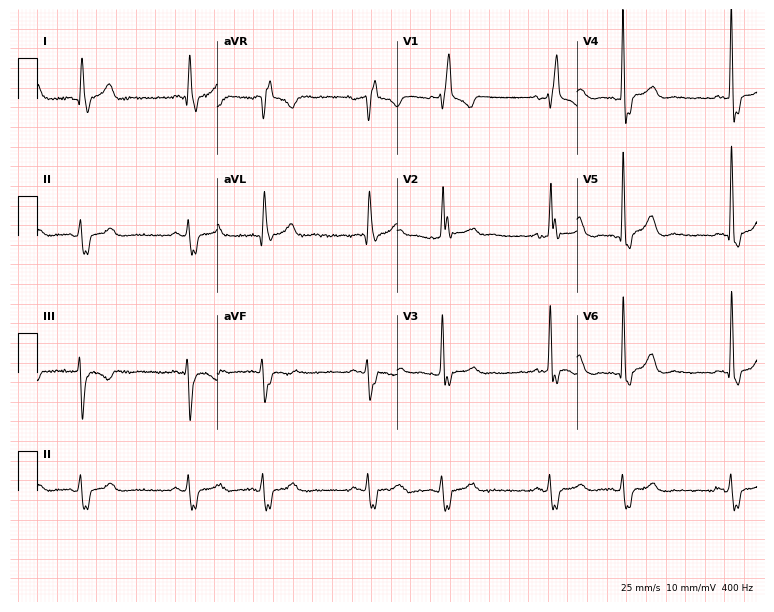
ECG (7.3-second recording at 400 Hz) — a male, 65 years old. Findings include right bundle branch block (RBBB).